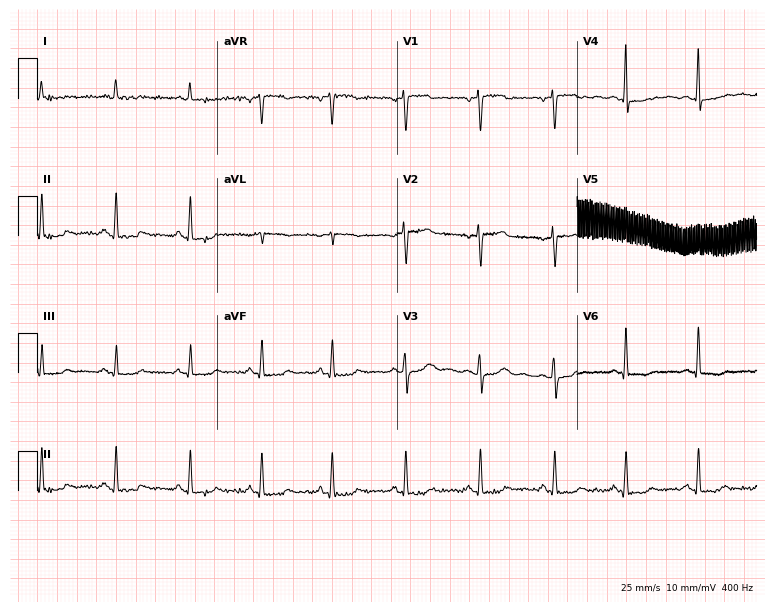
Standard 12-lead ECG recorded from a 51-year-old female patient (7.3-second recording at 400 Hz). None of these six findings is recorded: first-degree AV block, right bundle branch block, left bundle branch block, sinus bradycardia, atrial fibrillation, sinus tachycardia.